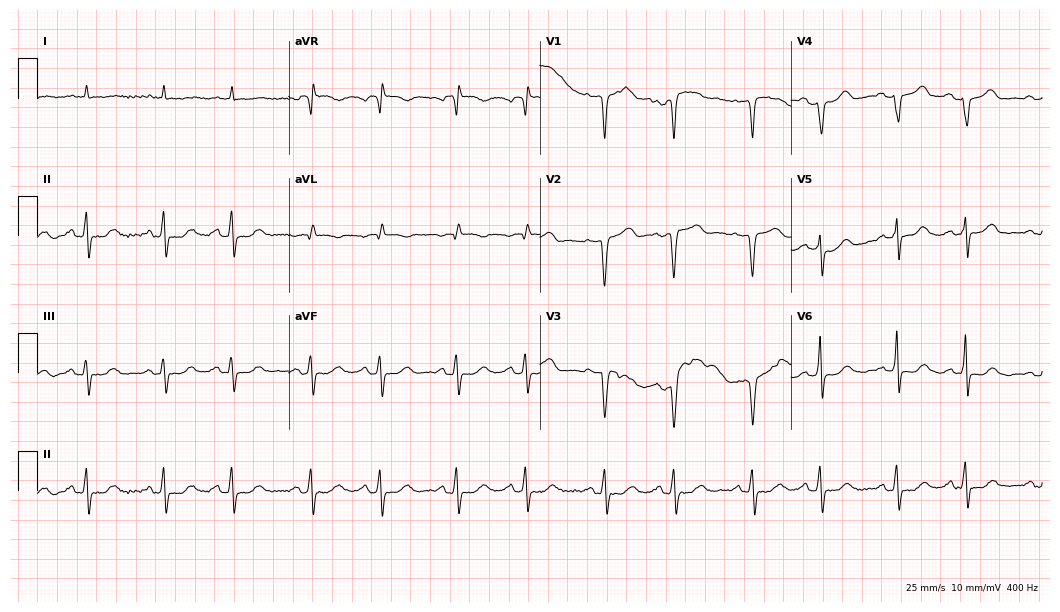
ECG — an 84-year-old woman. Screened for six findings — first-degree AV block, right bundle branch block, left bundle branch block, sinus bradycardia, atrial fibrillation, sinus tachycardia — none is recorded. Other findings, if any, are not listed.